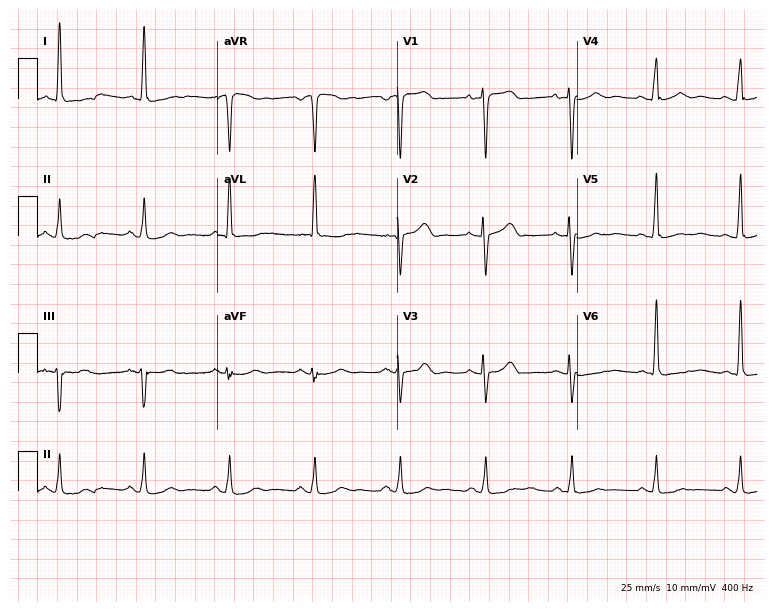
Resting 12-lead electrocardiogram. Patient: a 62-year-old female. None of these six findings is recorded: first-degree AV block, right bundle branch block, left bundle branch block, sinus bradycardia, atrial fibrillation, sinus tachycardia. Other findings, if any, are not listed.